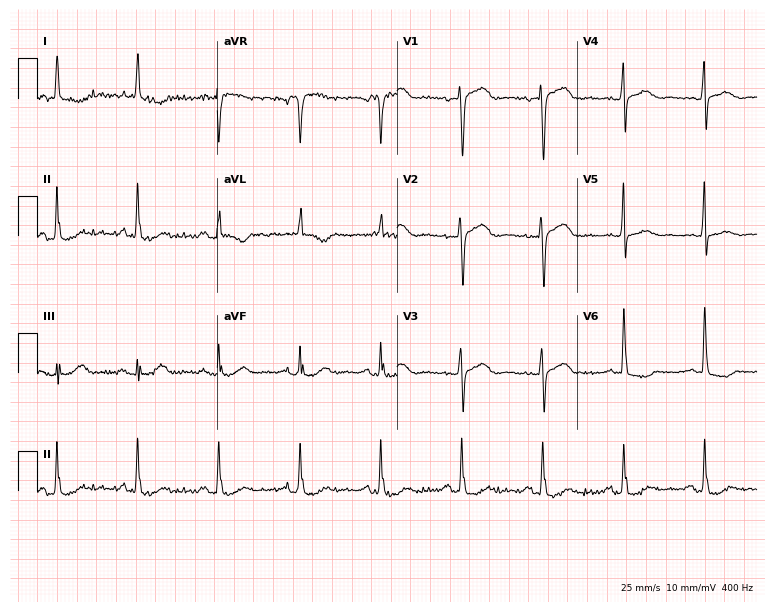
ECG (7.3-second recording at 400 Hz) — a female, 73 years old. Screened for six findings — first-degree AV block, right bundle branch block (RBBB), left bundle branch block (LBBB), sinus bradycardia, atrial fibrillation (AF), sinus tachycardia — none is recorded.